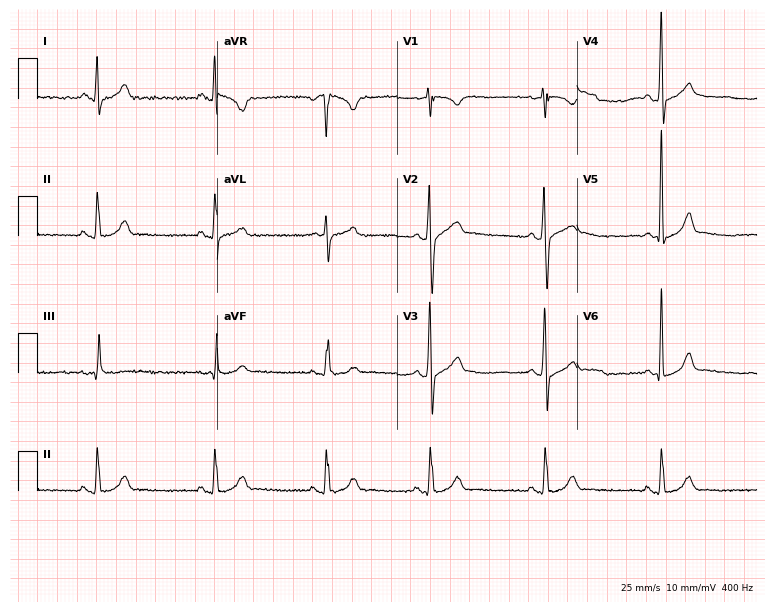
Resting 12-lead electrocardiogram. Patient: a 22-year-old male. Read as a normal ECG.